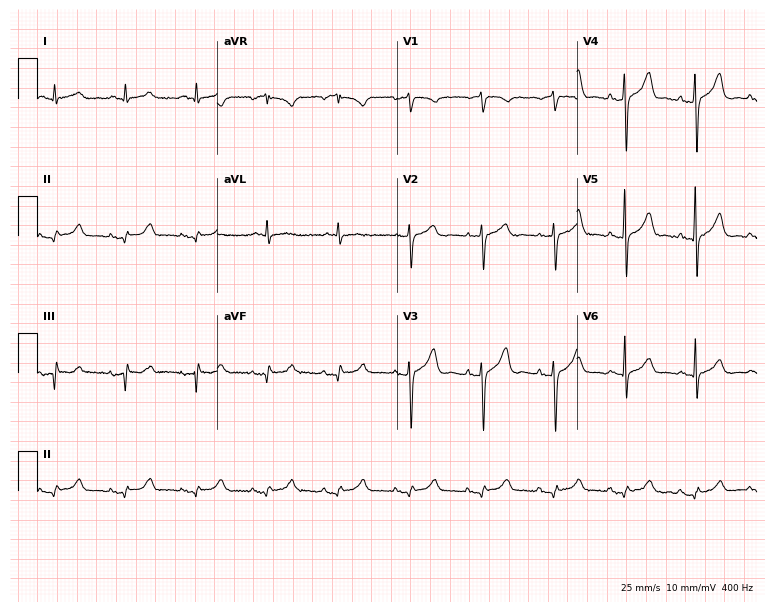
12-lead ECG from a 76-year-old male patient. Screened for six findings — first-degree AV block, right bundle branch block, left bundle branch block, sinus bradycardia, atrial fibrillation, sinus tachycardia — none is recorded.